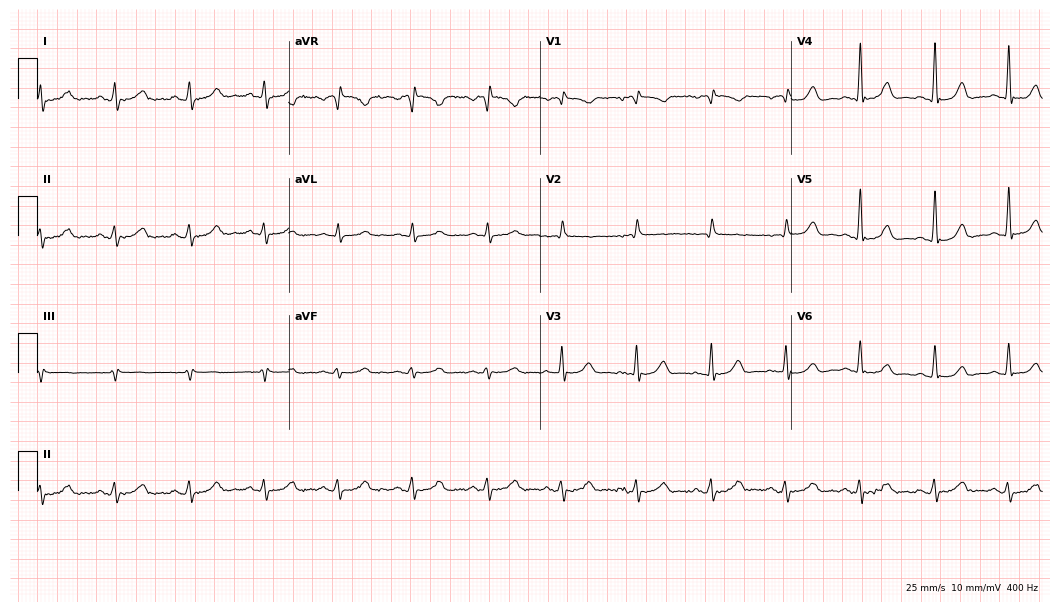
12-lead ECG (10.2-second recording at 400 Hz) from an 85-year-old woman. Labelled as a normal ECG.